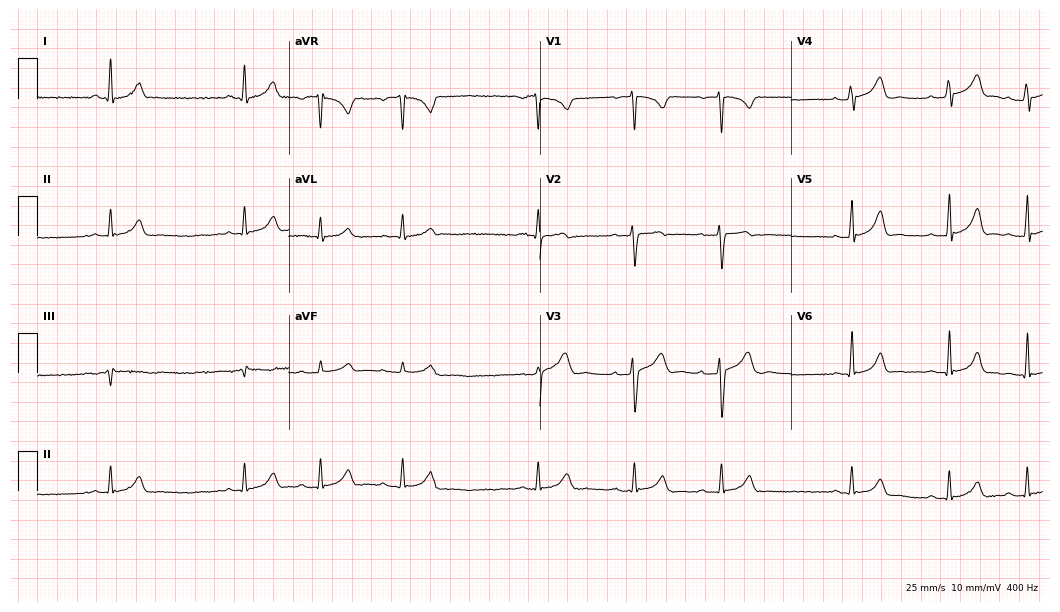
12-lead ECG from a 19-year-old female. Screened for six findings — first-degree AV block, right bundle branch block (RBBB), left bundle branch block (LBBB), sinus bradycardia, atrial fibrillation (AF), sinus tachycardia — none is recorded. Other findings, if any, are not listed.